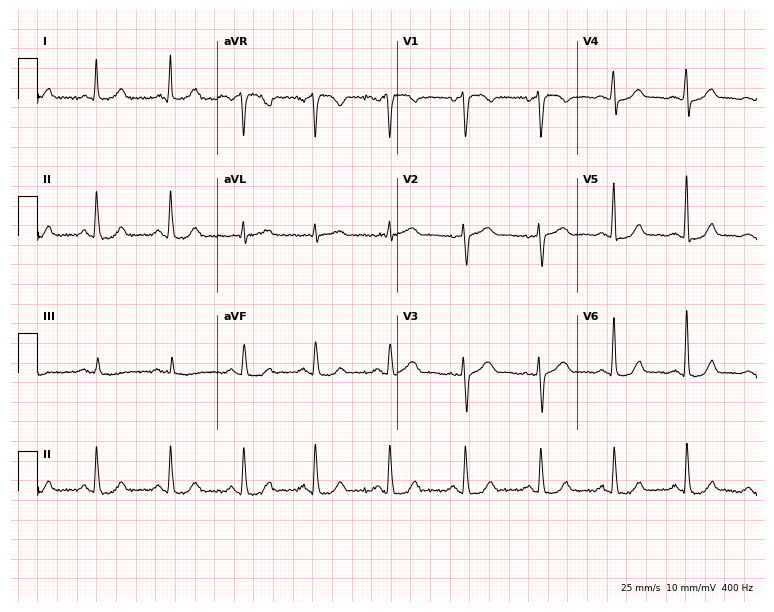
ECG (7.3-second recording at 400 Hz) — a woman, 55 years old. Labelled as a normal ECG.